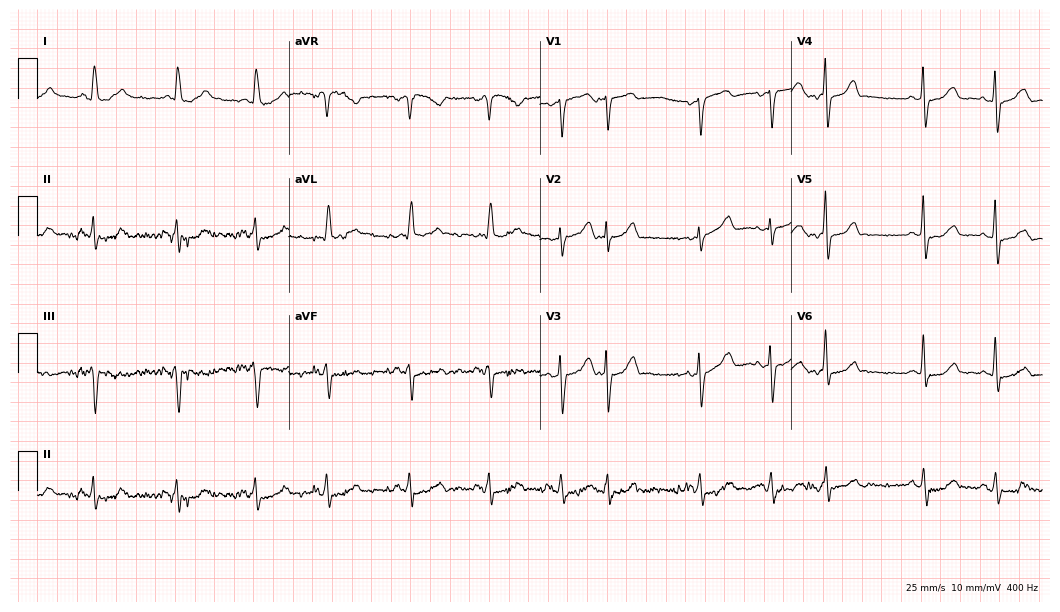
12-lead ECG (10.2-second recording at 400 Hz) from a female patient, 77 years old. Screened for six findings — first-degree AV block, right bundle branch block, left bundle branch block, sinus bradycardia, atrial fibrillation, sinus tachycardia — none is recorded.